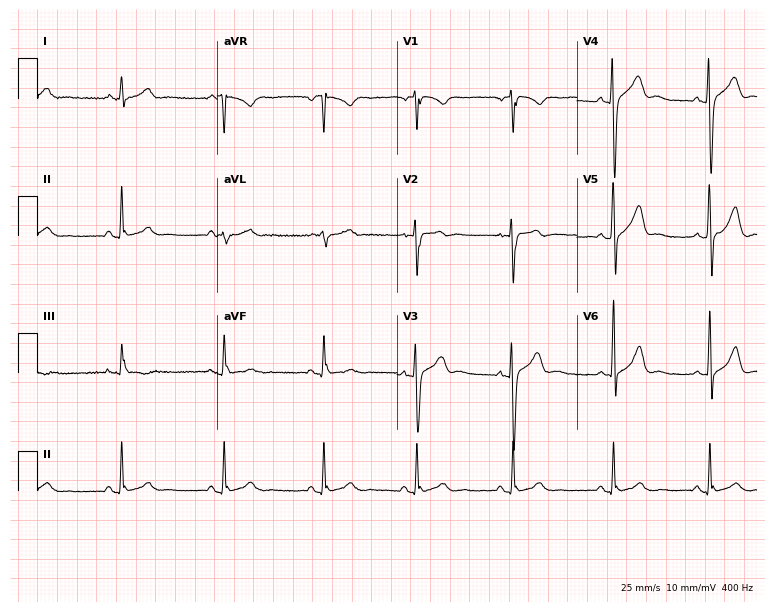
12-lead ECG from a male patient, 23 years old (7.3-second recording at 400 Hz). Recorded interpretation: within normal limits.